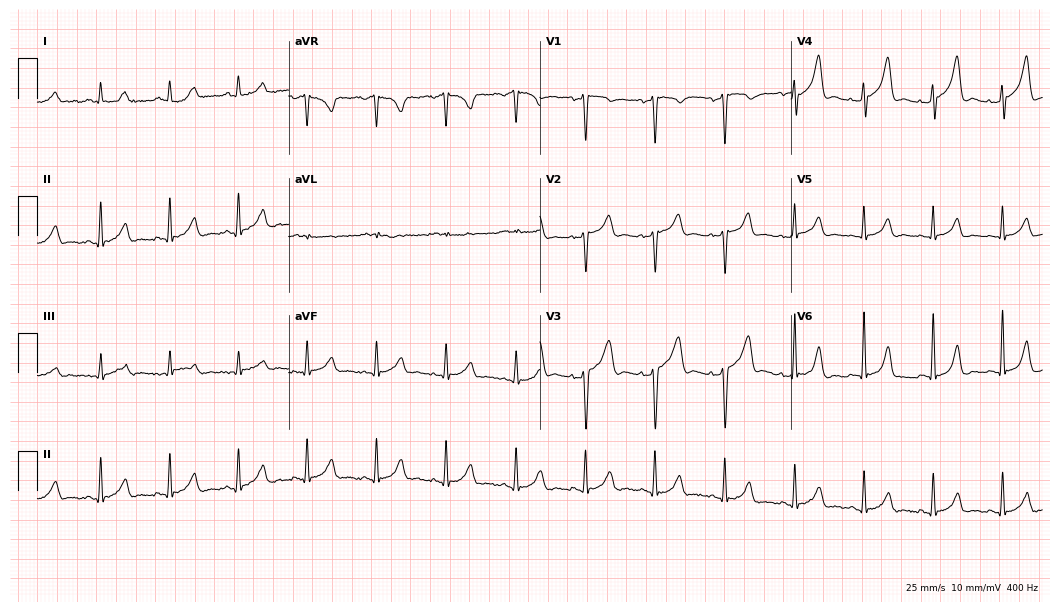
ECG — a 63-year-old male. Labelled as a normal ECG.